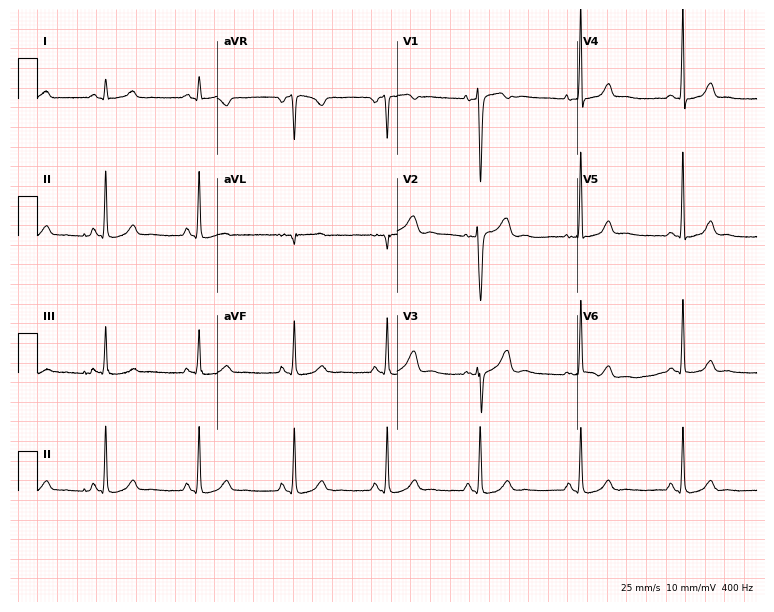
Resting 12-lead electrocardiogram (7.3-second recording at 400 Hz). Patient: a 28-year-old woman. None of these six findings is recorded: first-degree AV block, right bundle branch block, left bundle branch block, sinus bradycardia, atrial fibrillation, sinus tachycardia.